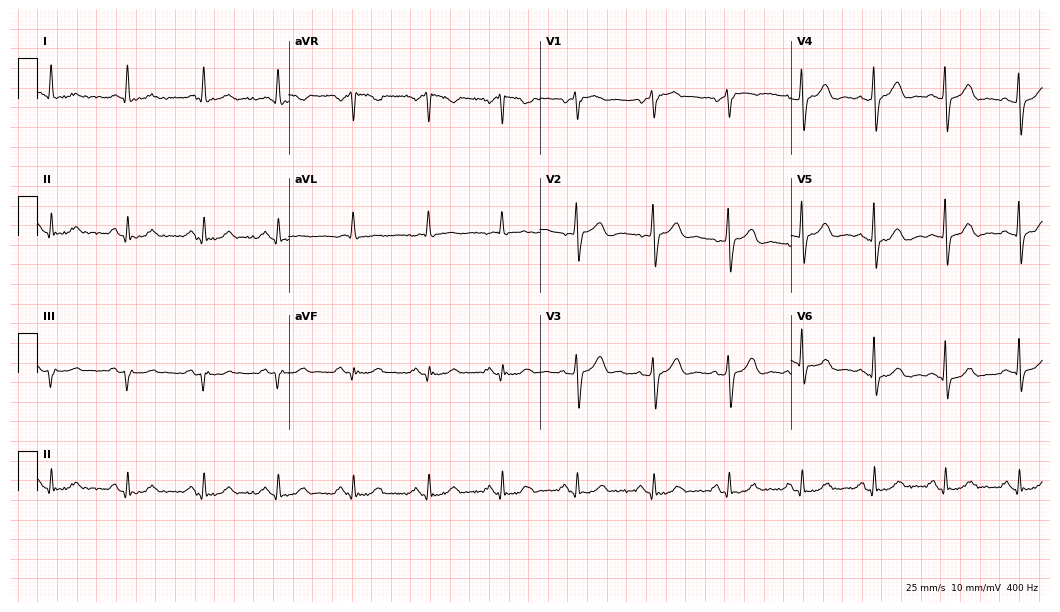
12-lead ECG from a male, 49 years old. Recorded interpretation: within normal limits.